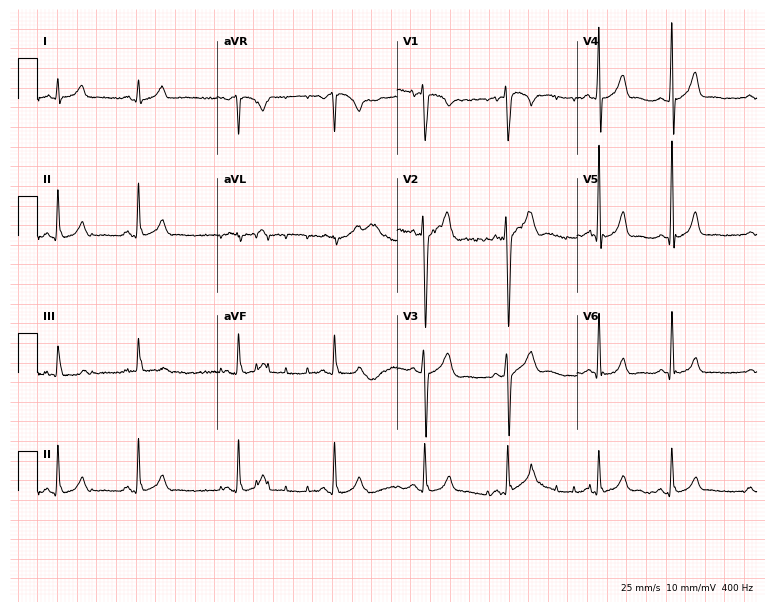
Electrocardiogram (7.3-second recording at 400 Hz), a male, 22 years old. Overall reading on record: normal ECG.